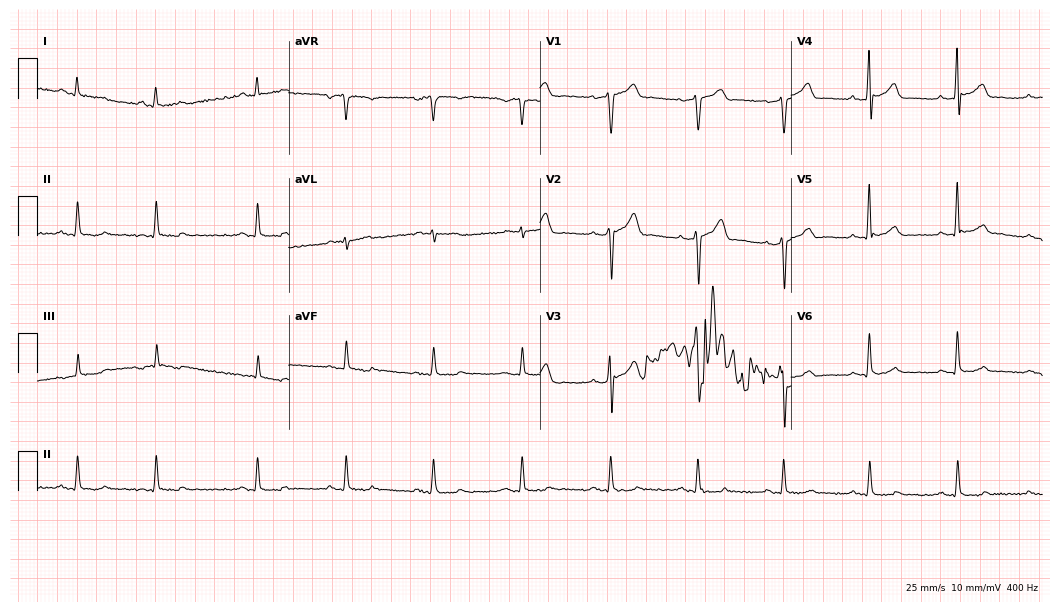
Electrocardiogram (10.2-second recording at 400 Hz), a male patient, 51 years old. Of the six screened findings (first-degree AV block, right bundle branch block (RBBB), left bundle branch block (LBBB), sinus bradycardia, atrial fibrillation (AF), sinus tachycardia), none is recorded.